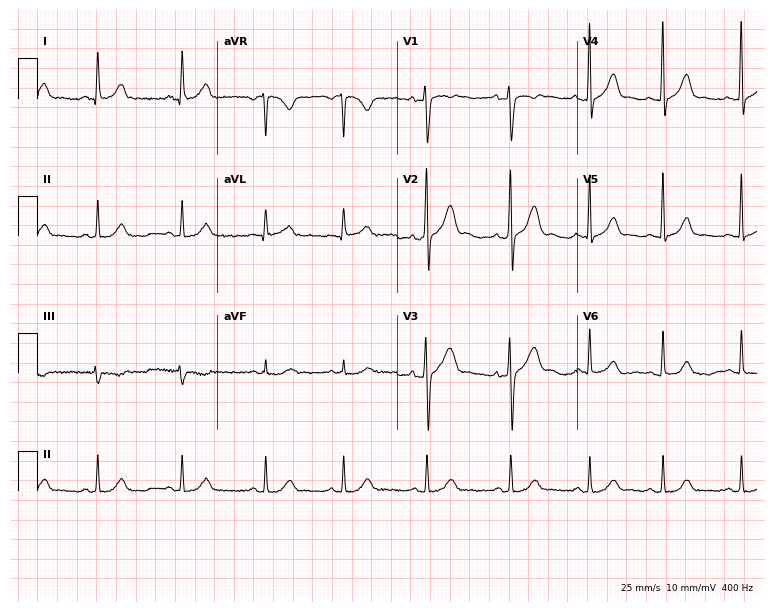
ECG (7.3-second recording at 400 Hz) — a 31-year-old woman. Labelled as a normal ECG.